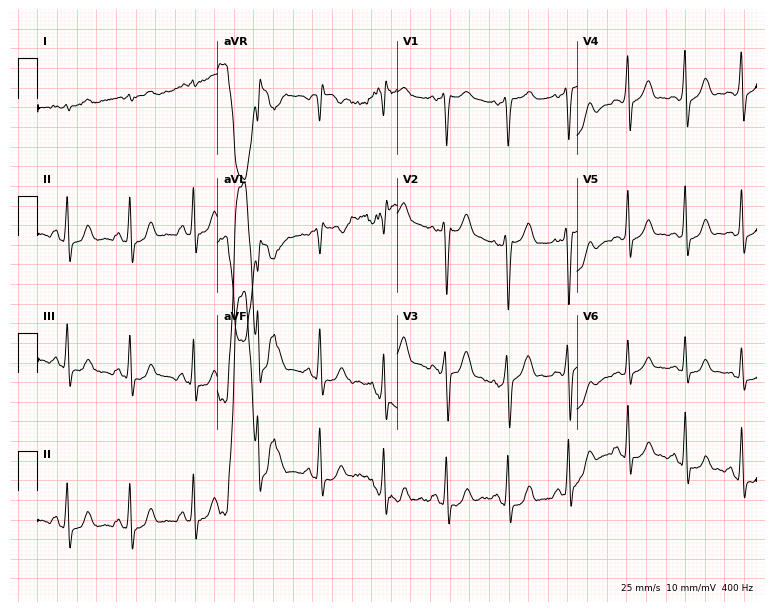
12-lead ECG (7.3-second recording at 400 Hz) from a 34-year-old man. Screened for six findings — first-degree AV block, right bundle branch block, left bundle branch block, sinus bradycardia, atrial fibrillation, sinus tachycardia — none is recorded.